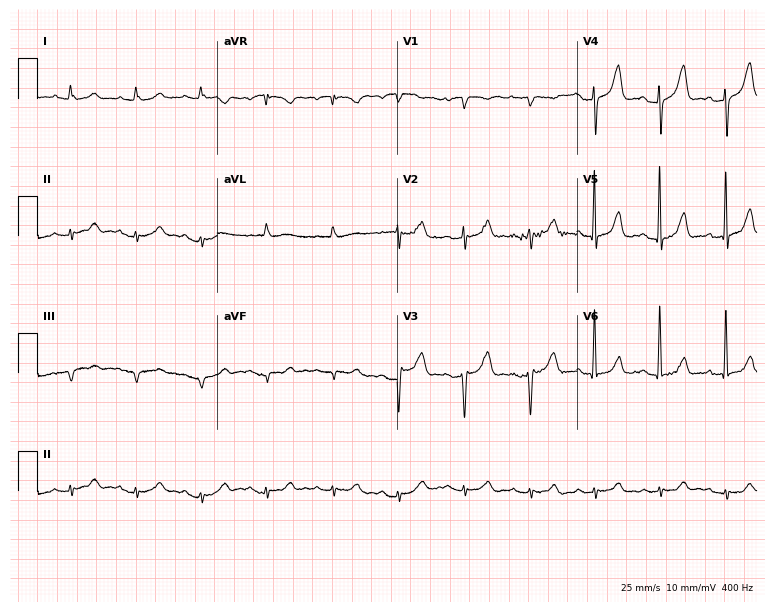
12-lead ECG from a 72-year-old female. No first-degree AV block, right bundle branch block, left bundle branch block, sinus bradycardia, atrial fibrillation or sinus tachycardia recorded for this tracing.